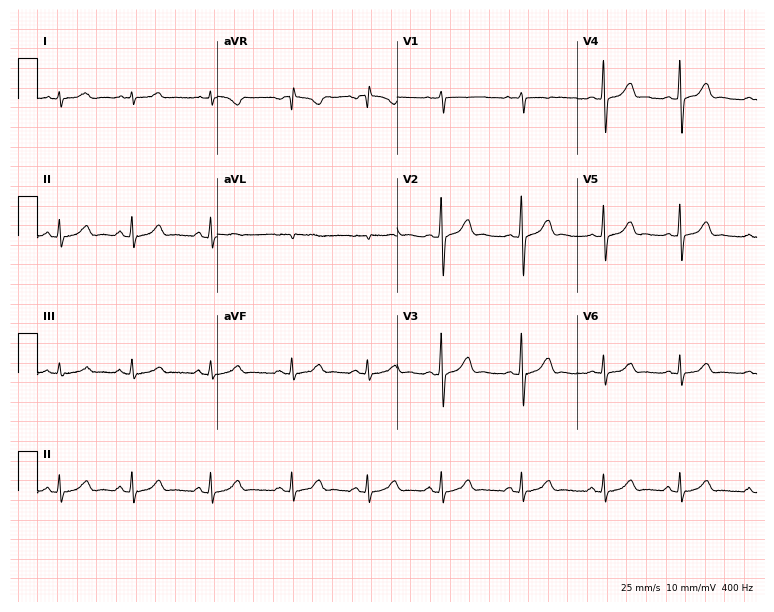
Resting 12-lead electrocardiogram (7.3-second recording at 400 Hz). Patient: a female, 18 years old. None of these six findings is recorded: first-degree AV block, right bundle branch block (RBBB), left bundle branch block (LBBB), sinus bradycardia, atrial fibrillation (AF), sinus tachycardia. Findings outside these six are not listed.